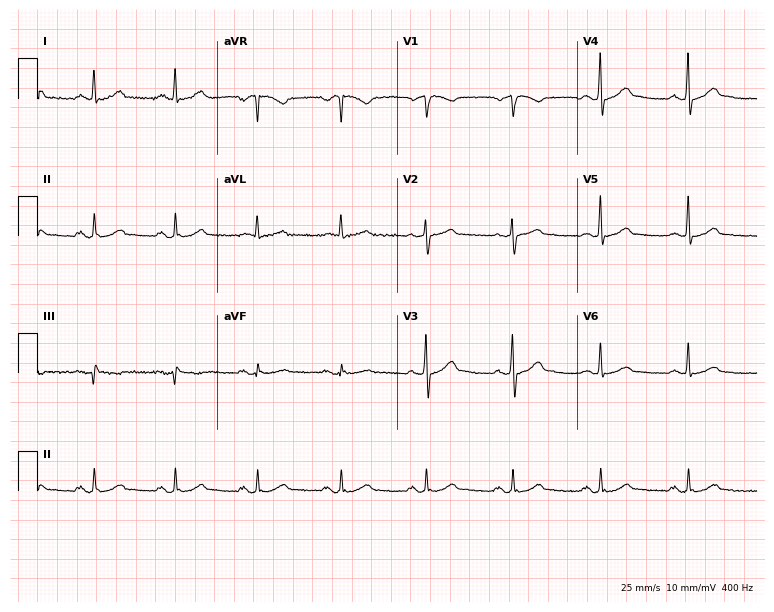
Resting 12-lead electrocardiogram (7.3-second recording at 400 Hz). Patient: a 56-year-old male. Read as a normal ECG.